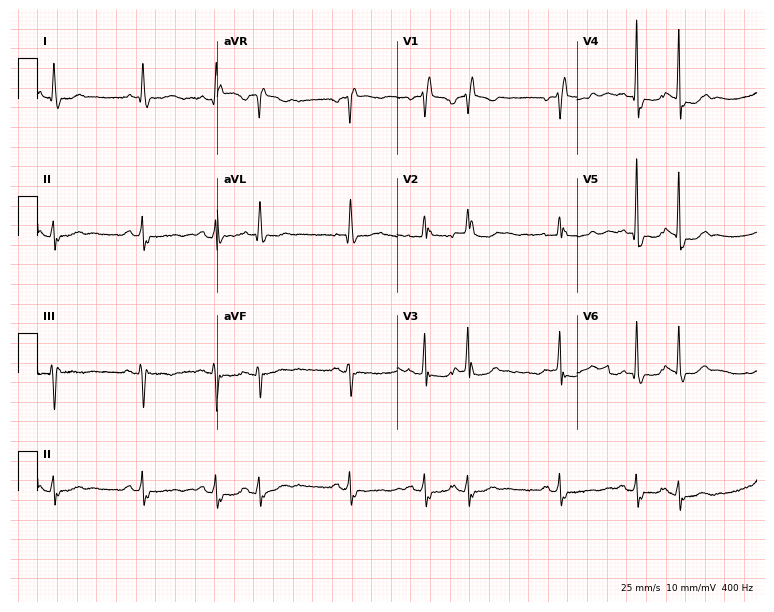
Resting 12-lead electrocardiogram. Patient: a 57-year-old female. The tracing shows right bundle branch block.